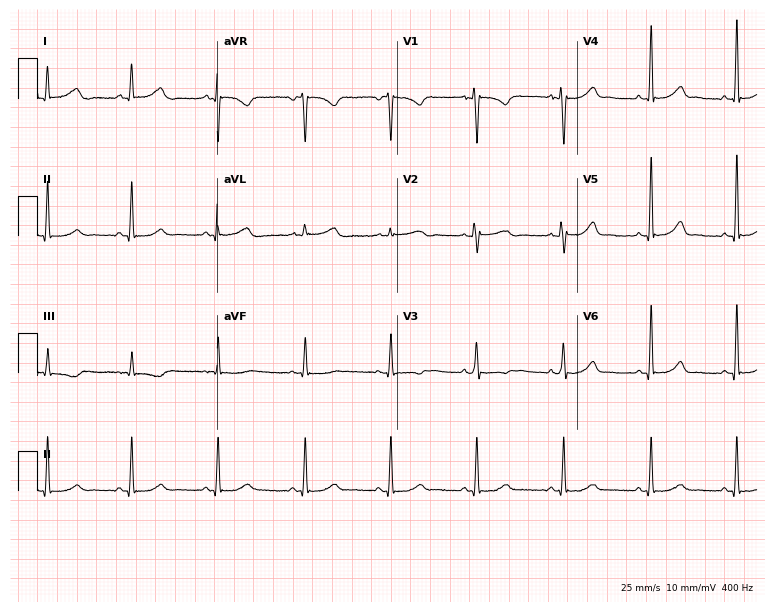
Electrocardiogram (7.3-second recording at 400 Hz), a 42-year-old female. Of the six screened findings (first-degree AV block, right bundle branch block, left bundle branch block, sinus bradycardia, atrial fibrillation, sinus tachycardia), none is recorded. Findings outside these six are not listed.